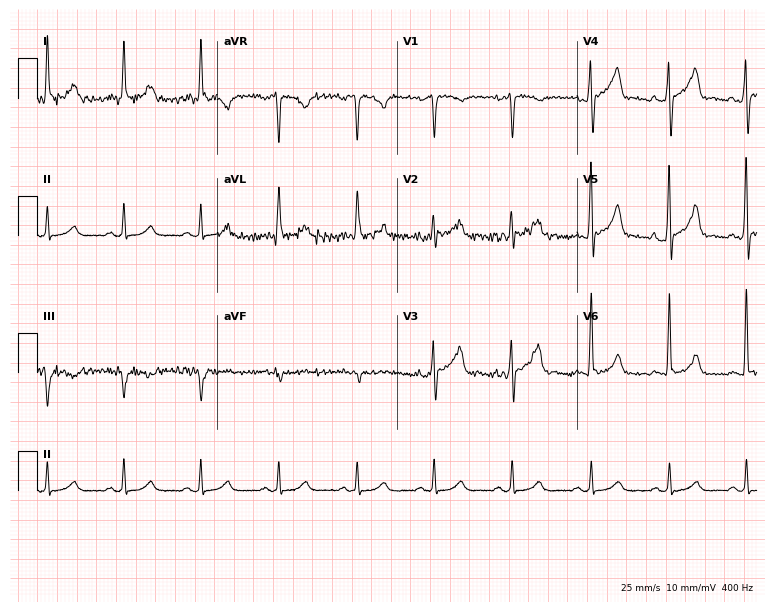
Electrocardiogram (7.3-second recording at 400 Hz), a 52-year-old male patient. Overall reading on record: normal ECG.